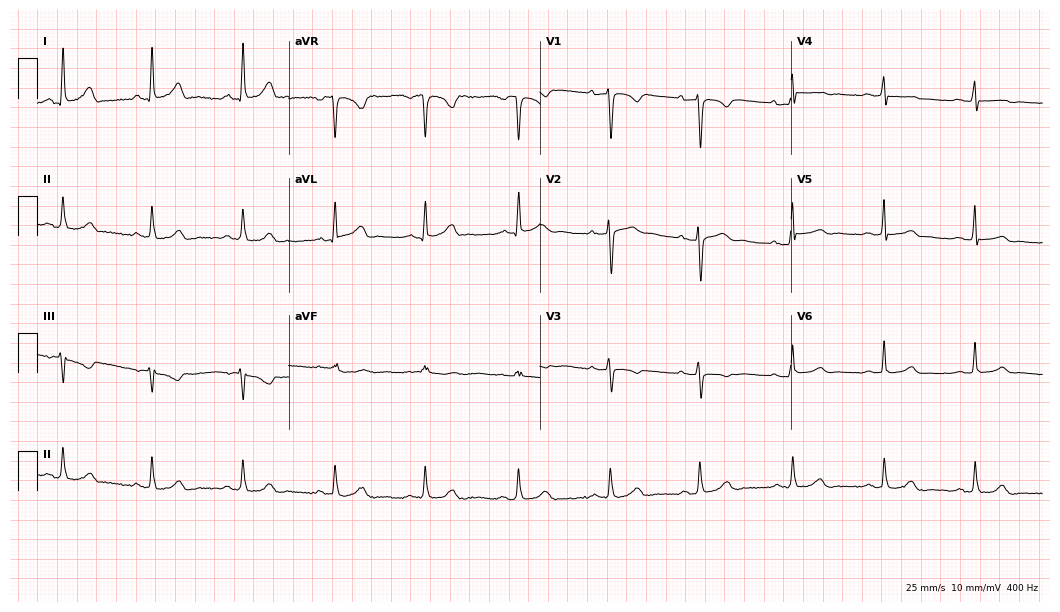
12-lead ECG (10.2-second recording at 400 Hz) from a female, 43 years old. Labelled as a normal ECG.